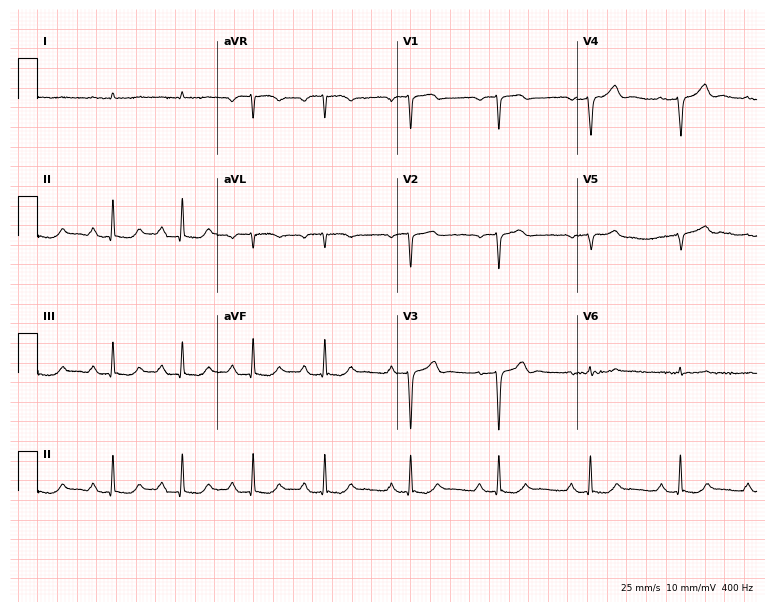
ECG — a man, 79 years old. Findings include first-degree AV block.